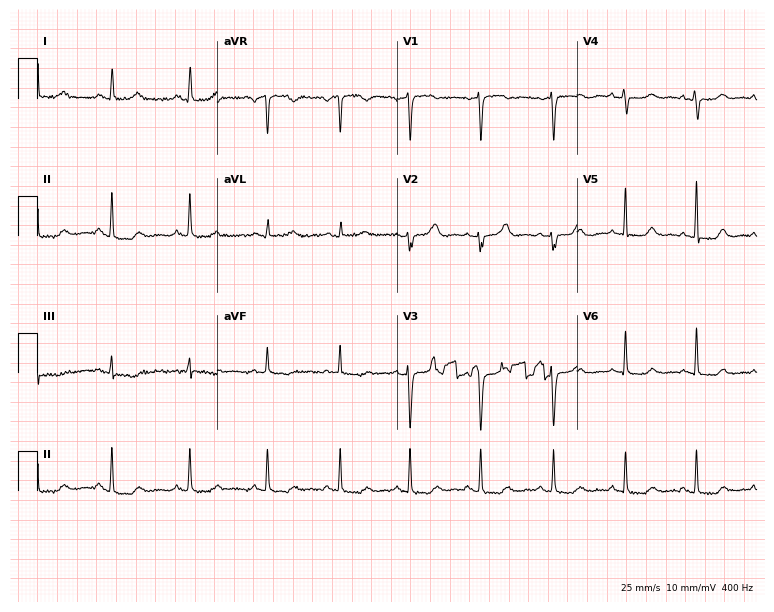
ECG (7.3-second recording at 400 Hz) — a female, 44 years old. Labelled as a normal ECG.